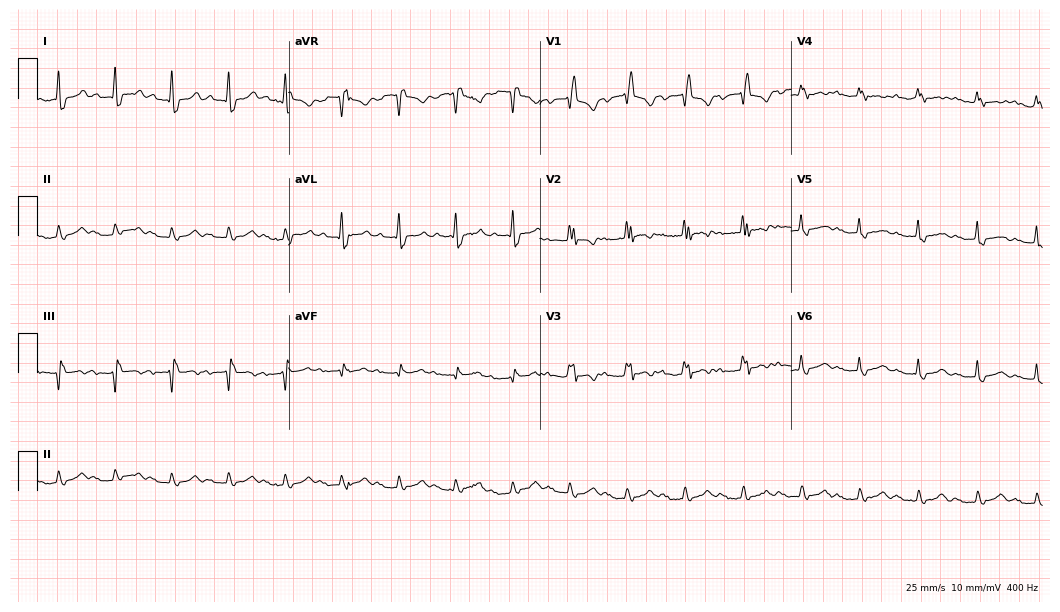
Resting 12-lead electrocardiogram (10.2-second recording at 400 Hz). Patient: a female, 86 years old. The tracing shows right bundle branch block, sinus tachycardia (a sinus rate of 100 beats per minute or more).